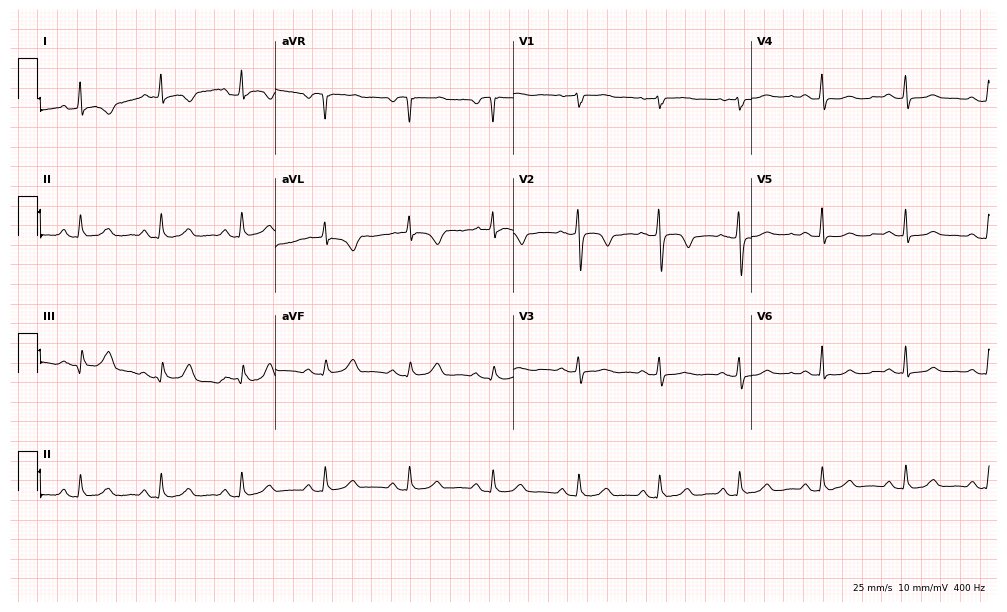
ECG — a 76-year-old woman. Screened for six findings — first-degree AV block, right bundle branch block (RBBB), left bundle branch block (LBBB), sinus bradycardia, atrial fibrillation (AF), sinus tachycardia — none is recorded.